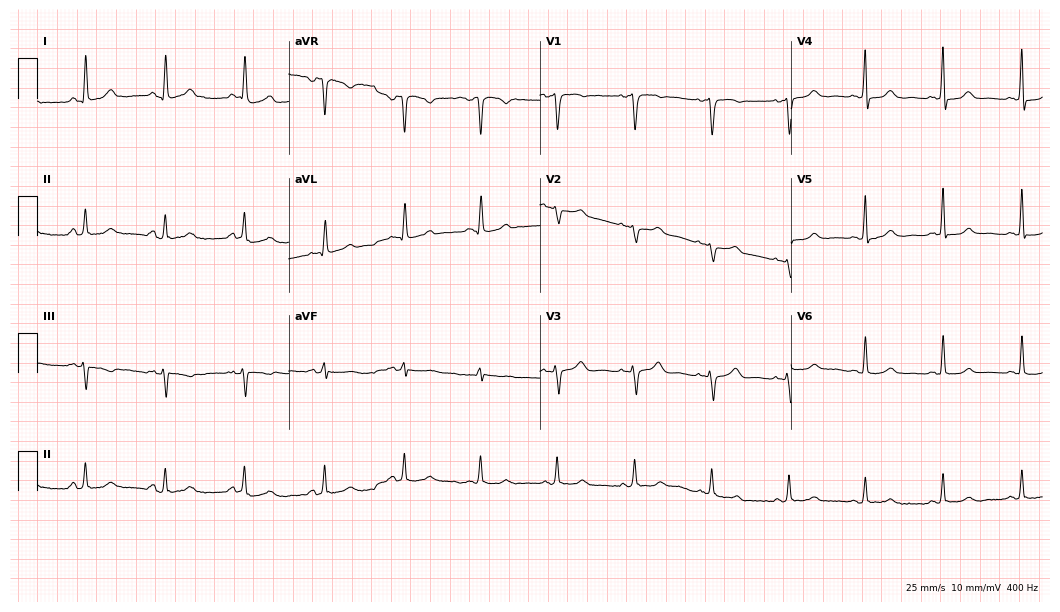
ECG (10.2-second recording at 400 Hz) — a female patient, 50 years old. Labelled as a normal ECG.